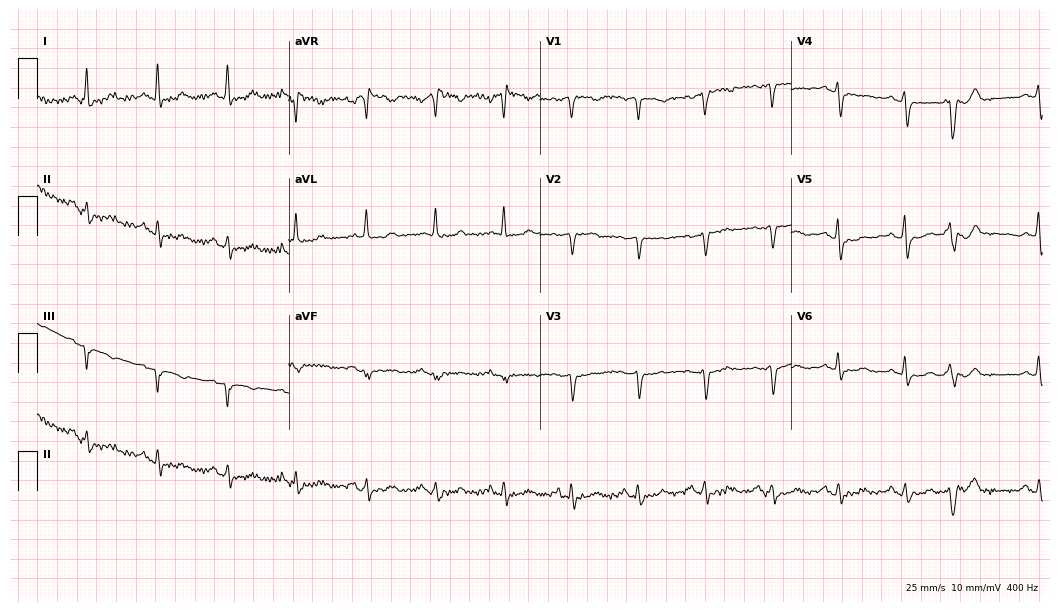
ECG (10.2-second recording at 400 Hz) — a woman, 60 years old. Screened for six findings — first-degree AV block, right bundle branch block, left bundle branch block, sinus bradycardia, atrial fibrillation, sinus tachycardia — none is recorded.